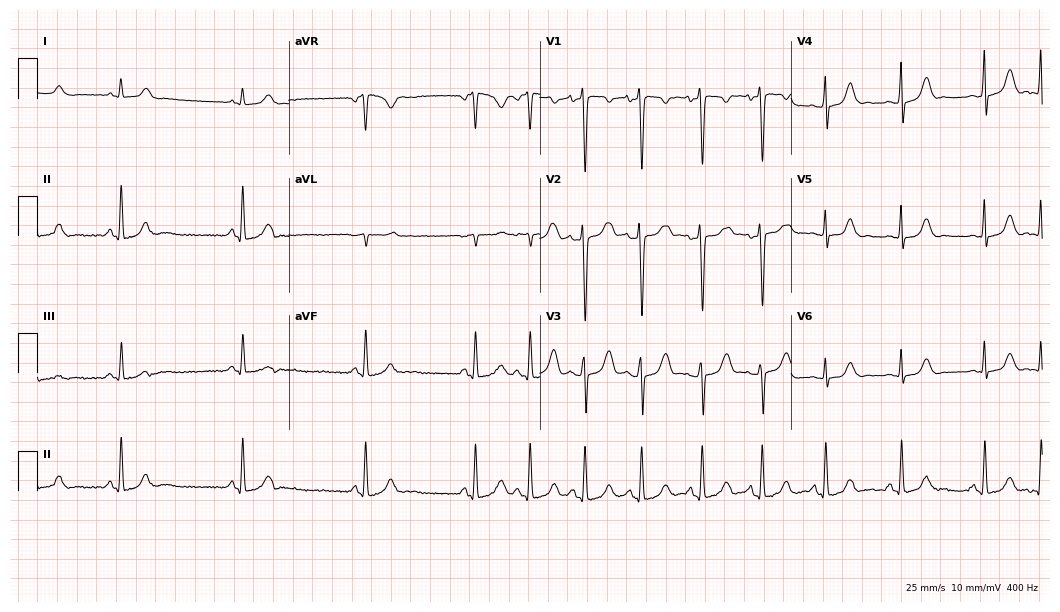
ECG — an 18-year-old female patient. Screened for six findings — first-degree AV block, right bundle branch block, left bundle branch block, sinus bradycardia, atrial fibrillation, sinus tachycardia — none is recorded. Only these six findings were labelled.